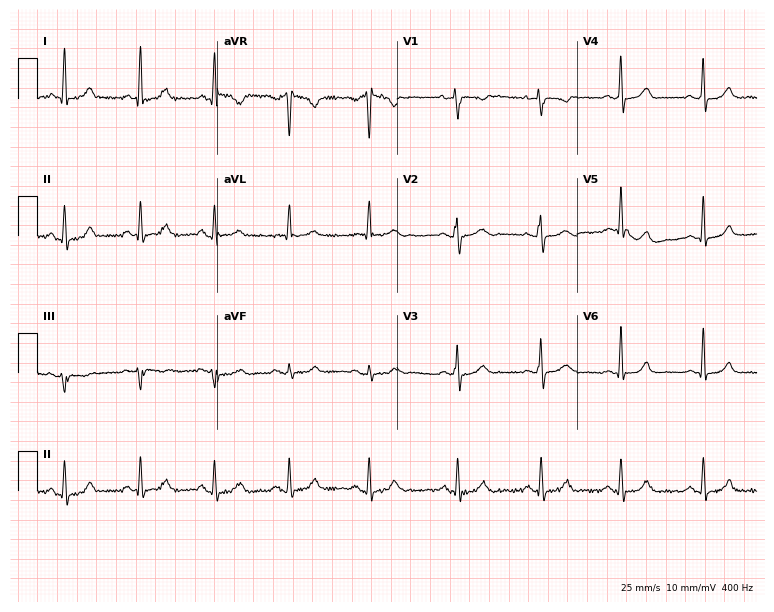
12-lead ECG from a 38-year-old female (7.3-second recording at 400 Hz). No first-degree AV block, right bundle branch block (RBBB), left bundle branch block (LBBB), sinus bradycardia, atrial fibrillation (AF) or sinus tachycardia recorded for this tracing.